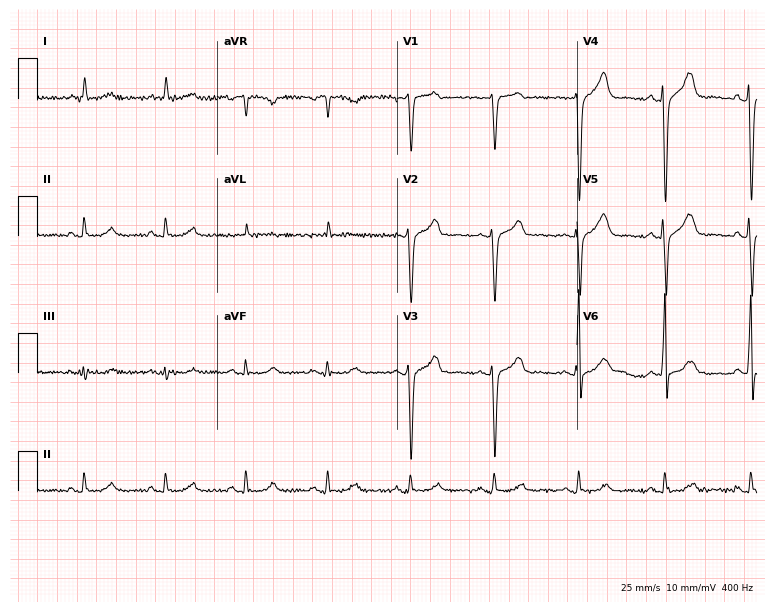
ECG (7.3-second recording at 400 Hz) — a man, 68 years old. Screened for six findings — first-degree AV block, right bundle branch block (RBBB), left bundle branch block (LBBB), sinus bradycardia, atrial fibrillation (AF), sinus tachycardia — none is recorded. Other findings, if any, are not listed.